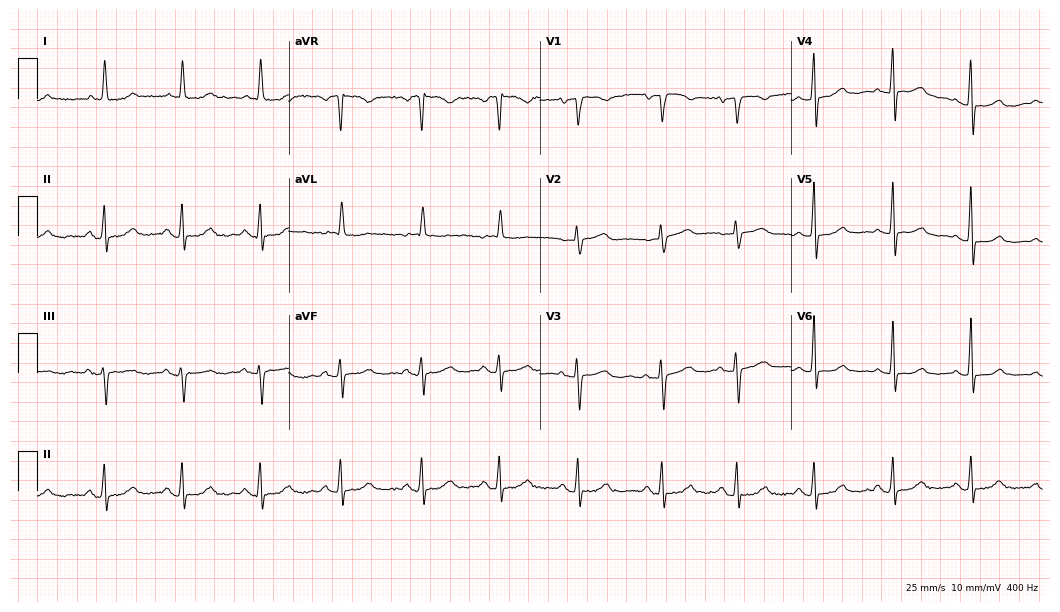
12-lead ECG from a female, 68 years old. Screened for six findings — first-degree AV block, right bundle branch block, left bundle branch block, sinus bradycardia, atrial fibrillation, sinus tachycardia — none is recorded. Only these six findings were labelled.